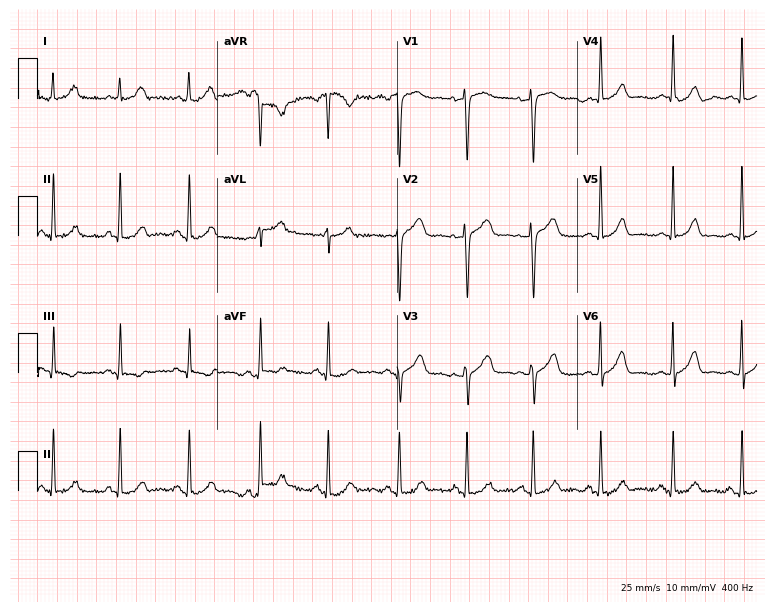
Resting 12-lead electrocardiogram. Patient: a male, 38 years old. None of these six findings is recorded: first-degree AV block, right bundle branch block, left bundle branch block, sinus bradycardia, atrial fibrillation, sinus tachycardia. Only these six findings were labelled.